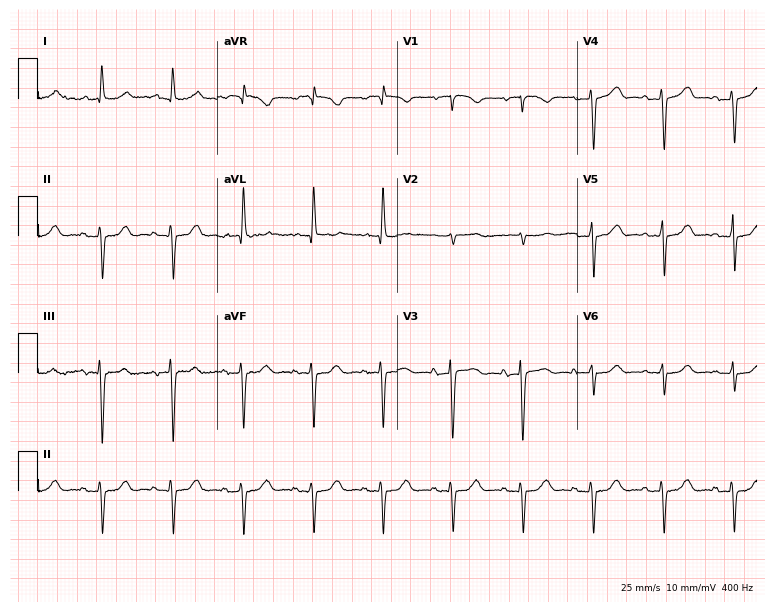
Resting 12-lead electrocardiogram. Patient: a 78-year-old woman. None of these six findings is recorded: first-degree AV block, right bundle branch block, left bundle branch block, sinus bradycardia, atrial fibrillation, sinus tachycardia. Only these six findings were labelled.